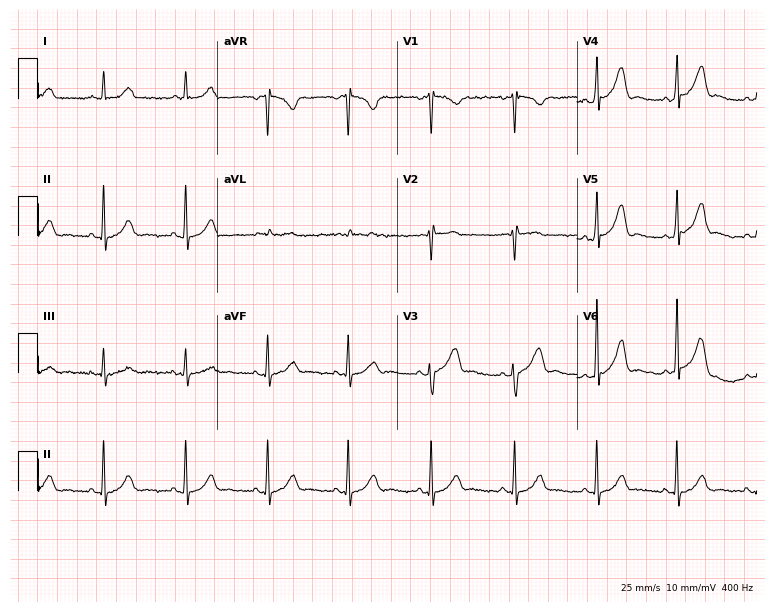
Resting 12-lead electrocardiogram (7.3-second recording at 400 Hz). Patient: a woman, 30 years old. Read as a normal ECG.